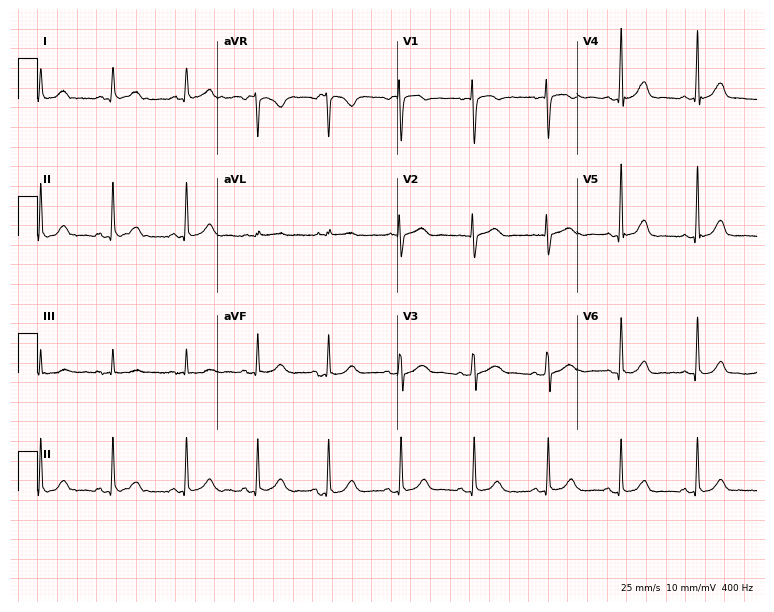
Electrocardiogram (7.3-second recording at 400 Hz), a woman, 46 years old. Overall reading on record: normal ECG.